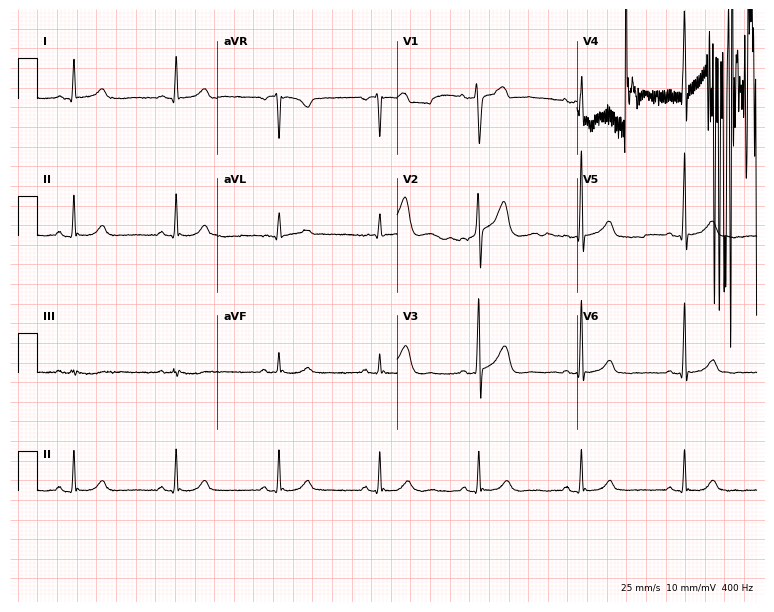
12-lead ECG from a man, 39 years old (7.3-second recording at 400 Hz). No first-degree AV block, right bundle branch block, left bundle branch block, sinus bradycardia, atrial fibrillation or sinus tachycardia recorded for this tracing.